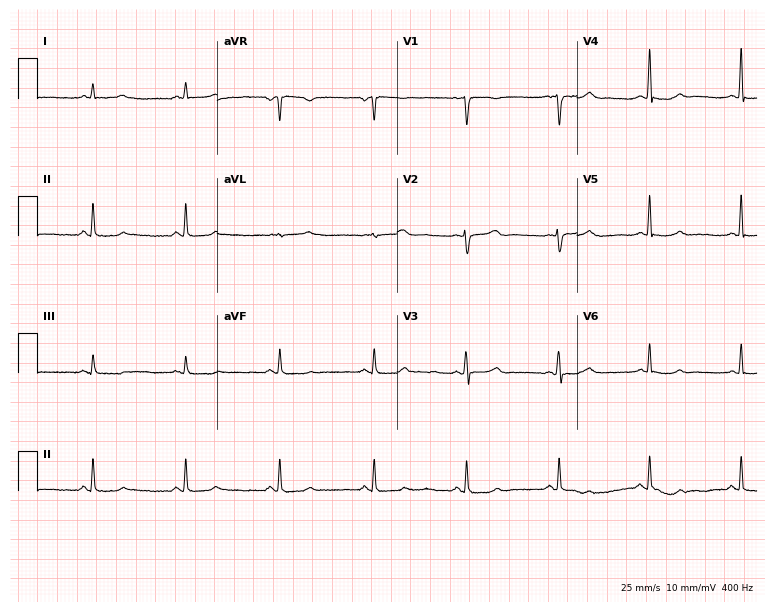
Electrocardiogram, a 47-year-old female. Of the six screened findings (first-degree AV block, right bundle branch block, left bundle branch block, sinus bradycardia, atrial fibrillation, sinus tachycardia), none is recorded.